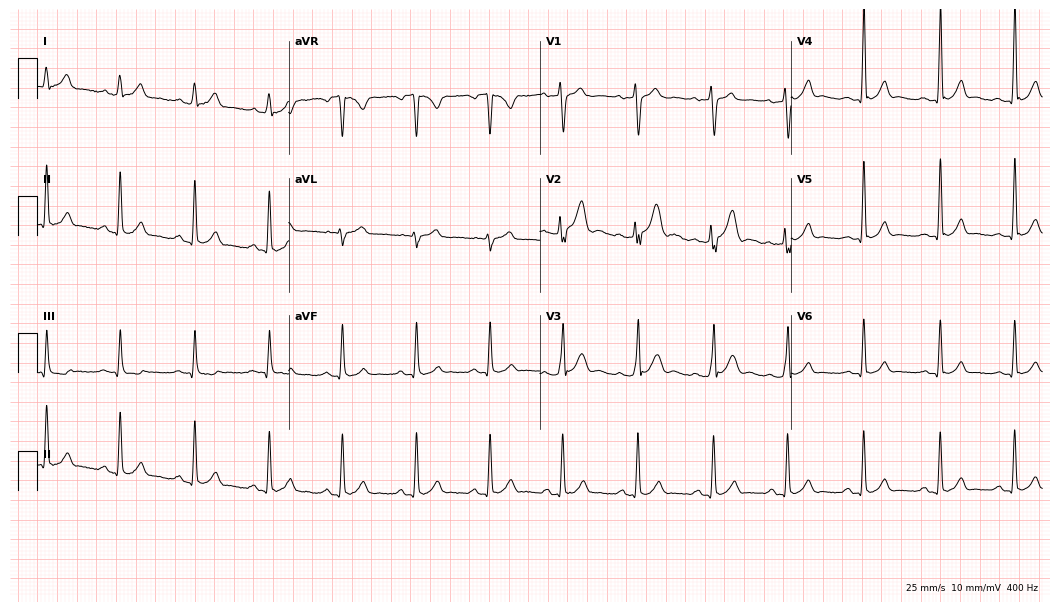
Standard 12-lead ECG recorded from a male patient, 29 years old. None of these six findings is recorded: first-degree AV block, right bundle branch block, left bundle branch block, sinus bradycardia, atrial fibrillation, sinus tachycardia. Only these six findings were labelled.